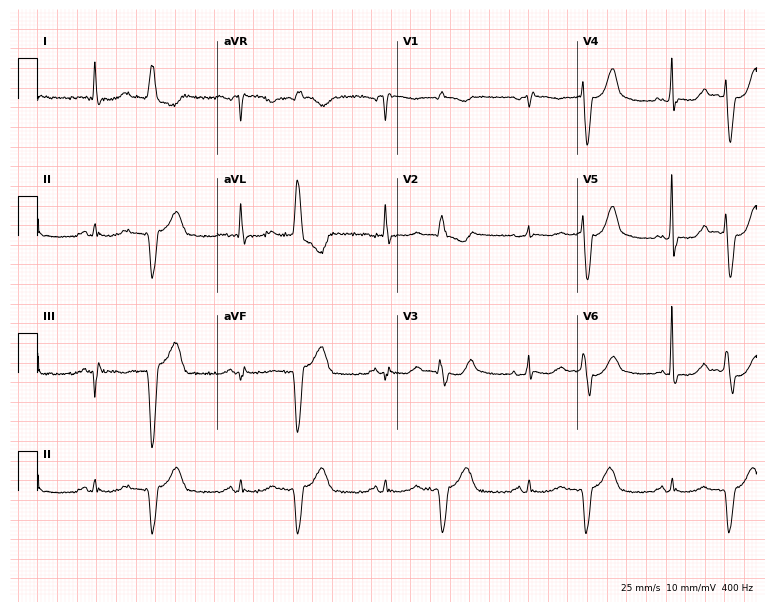
Electrocardiogram, a 73-year-old female. Of the six screened findings (first-degree AV block, right bundle branch block, left bundle branch block, sinus bradycardia, atrial fibrillation, sinus tachycardia), none is recorded. Findings outside these six are not listed.